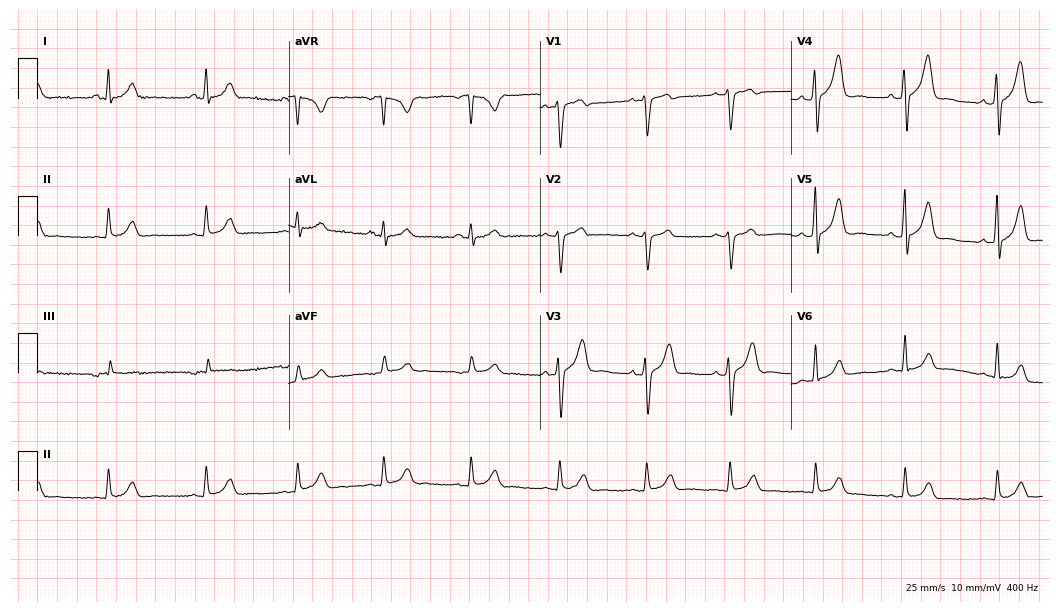
Standard 12-lead ECG recorded from a male, 33 years old. Read as a normal ECG.